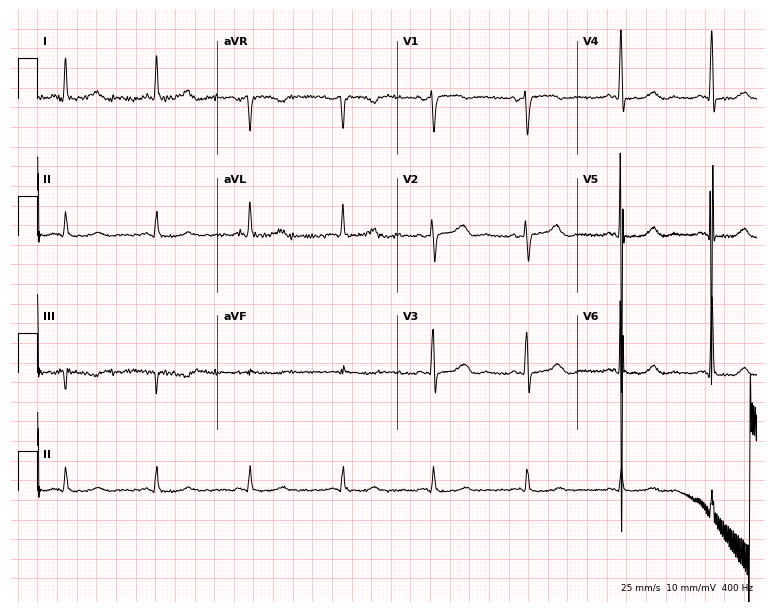
Electrocardiogram, a female, 77 years old. Of the six screened findings (first-degree AV block, right bundle branch block (RBBB), left bundle branch block (LBBB), sinus bradycardia, atrial fibrillation (AF), sinus tachycardia), none is recorded. Only these six findings were labelled.